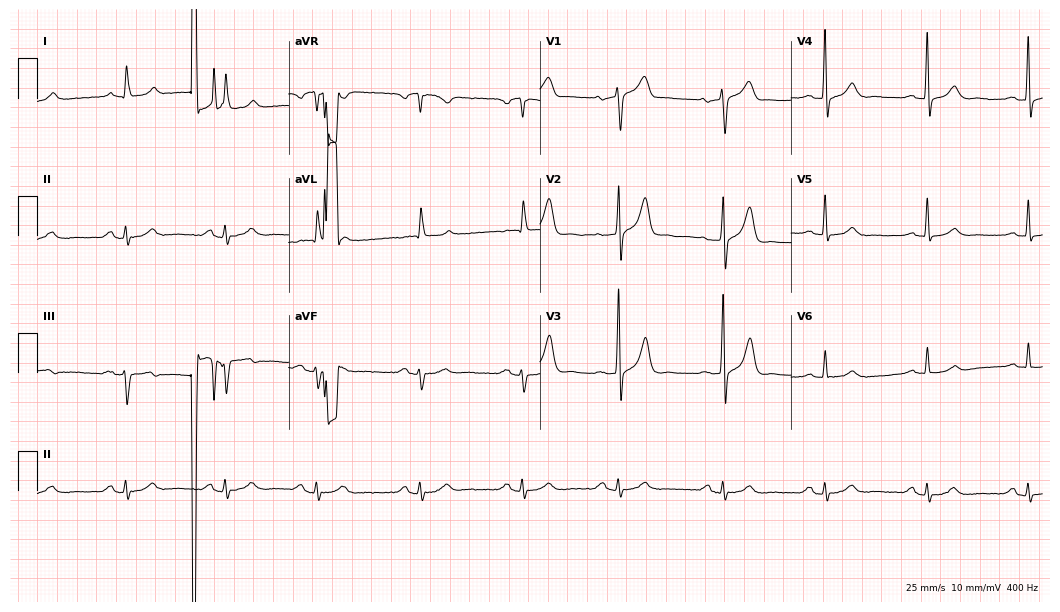
Electrocardiogram, a 78-year-old male patient. Of the six screened findings (first-degree AV block, right bundle branch block, left bundle branch block, sinus bradycardia, atrial fibrillation, sinus tachycardia), none is recorded.